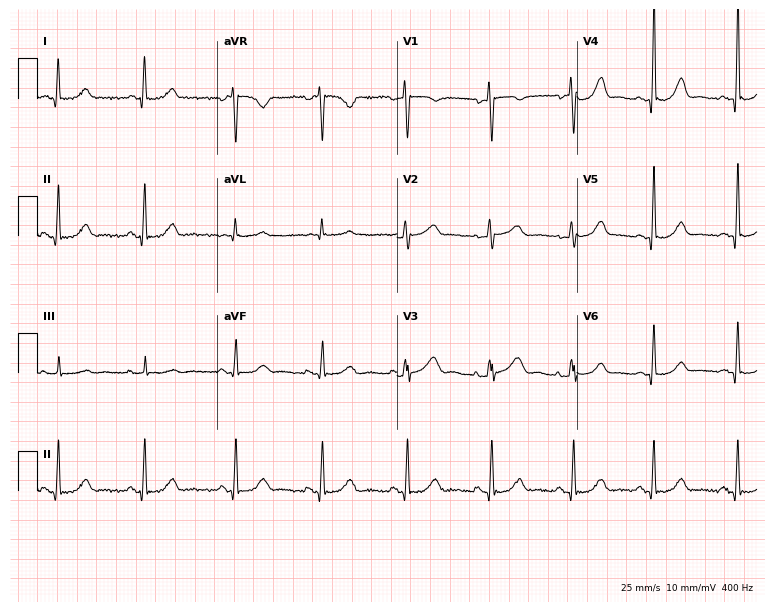
Resting 12-lead electrocardiogram (7.3-second recording at 400 Hz). Patient: a female, 47 years old. Read as a normal ECG.